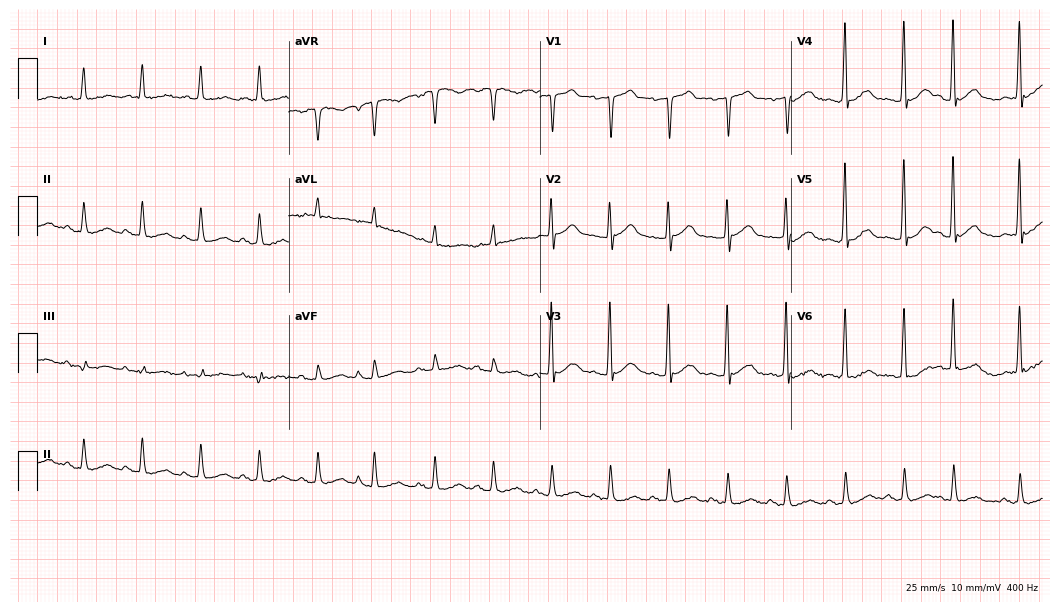
Resting 12-lead electrocardiogram (10.2-second recording at 400 Hz). Patient: a male, 69 years old. None of these six findings is recorded: first-degree AV block, right bundle branch block, left bundle branch block, sinus bradycardia, atrial fibrillation, sinus tachycardia.